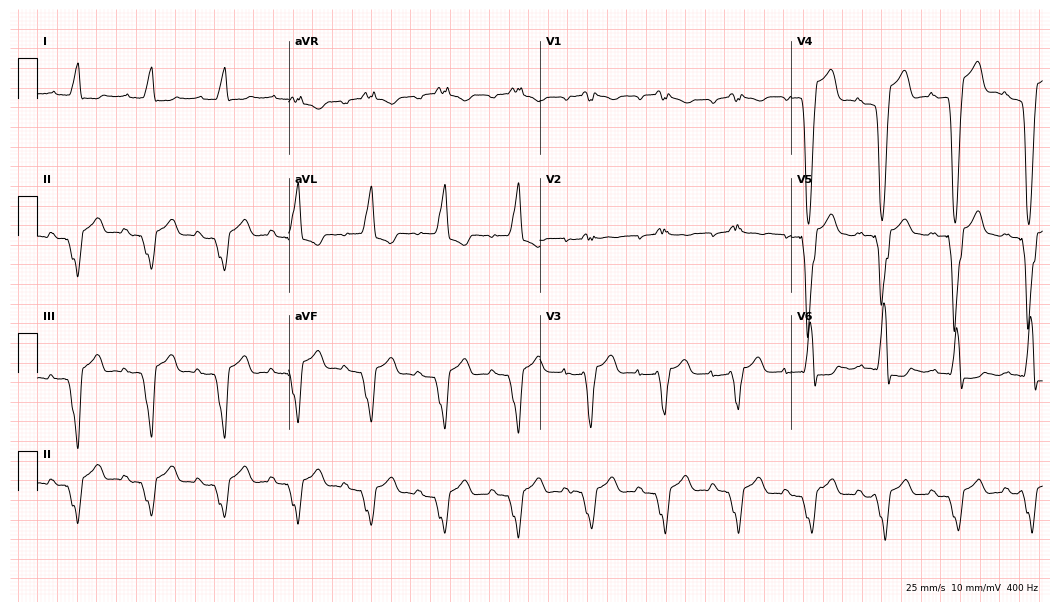
Standard 12-lead ECG recorded from a male, 63 years old (10.2-second recording at 400 Hz). None of these six findings is recorded: first-degree AV block, right bundle branch block, left bundle branch block, sinus bradycardia, atrial fibrillation, sinus tachycardia.